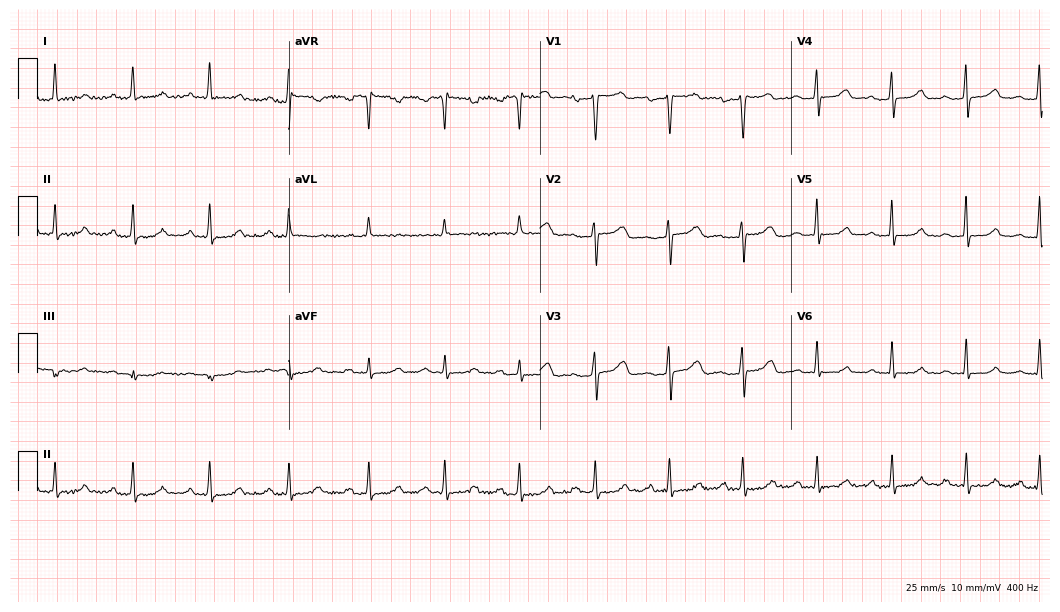
ECG (10.2-second recording at 400 Hz) — a female patient, 41 years old. Findings include first-degree AV block.